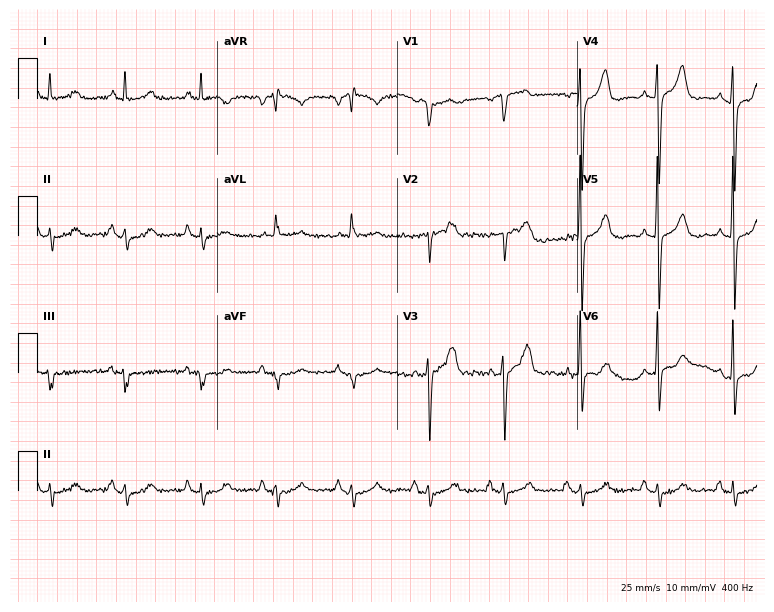
Resting 12-lead electrocardiogram (7.3-second recording at 400 Hz). Patient: a male, 71 years old. None of these six findings is recorded: first-degree AV block, right bundle branch block, left bundle branch block, sinus bradycardia, atrial fibrillation, sinus tachycardia.